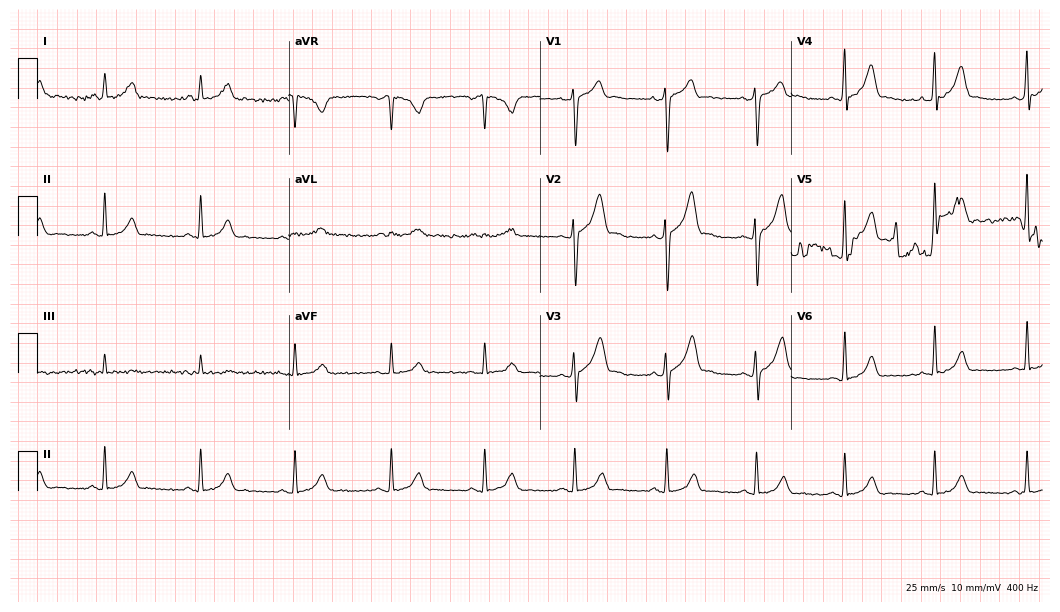
12-lead ECG from a 22-year-old man (10.2-second recording at 400 Hz). No first-degree AV block, right bundle branch block, left bundle branch block, sinus bradycardia, atrial fibrillation or sinus tachycardia recorded for this tracing.